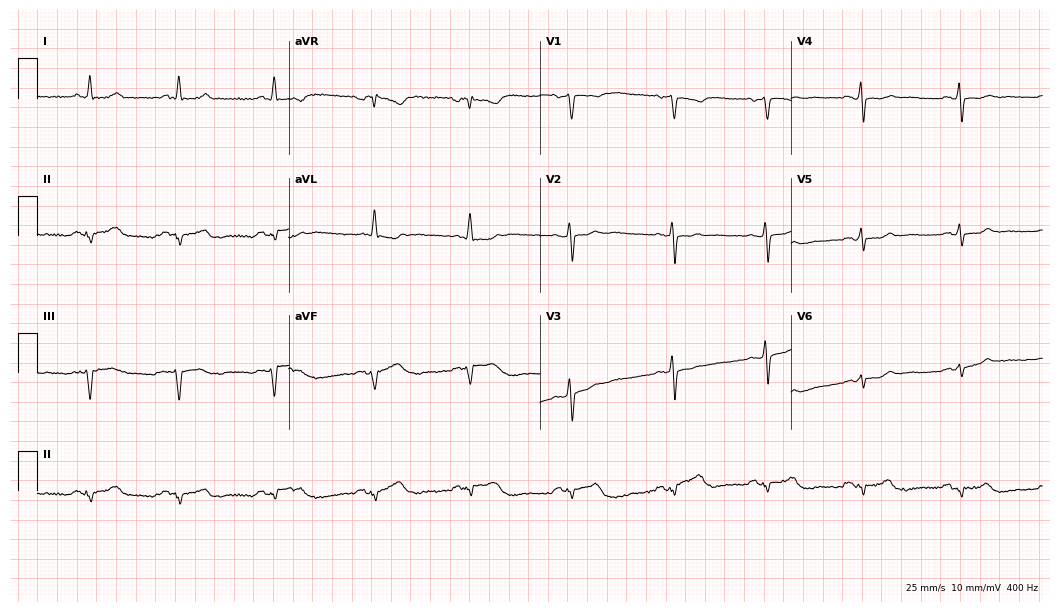
Standard 12-lead ECG recorded from a 64-year-old female. None of these six findings is recorded: first-degree AV block, right bundle branch block (RBBB), left bundle branch block (LBBB), sinus bradycardia, atrial fibrillation (AF), sinus tachycardia. Findings outside these six are not listed.